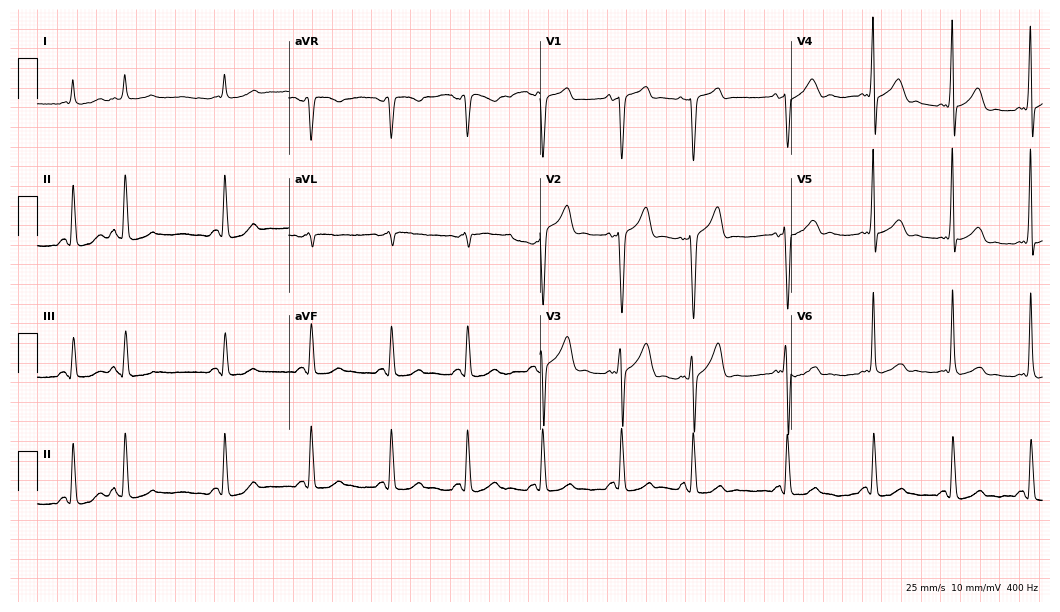
Standard 12-lead ECG recorded from a man, 59 years old (10.2-second recording at 400 Hz). None of these six findings is recorded: first-degree AV block, right bundle branch block, left bundle branch block, sinus bradycardia, atrial fibrillation, sinus tachycardia.